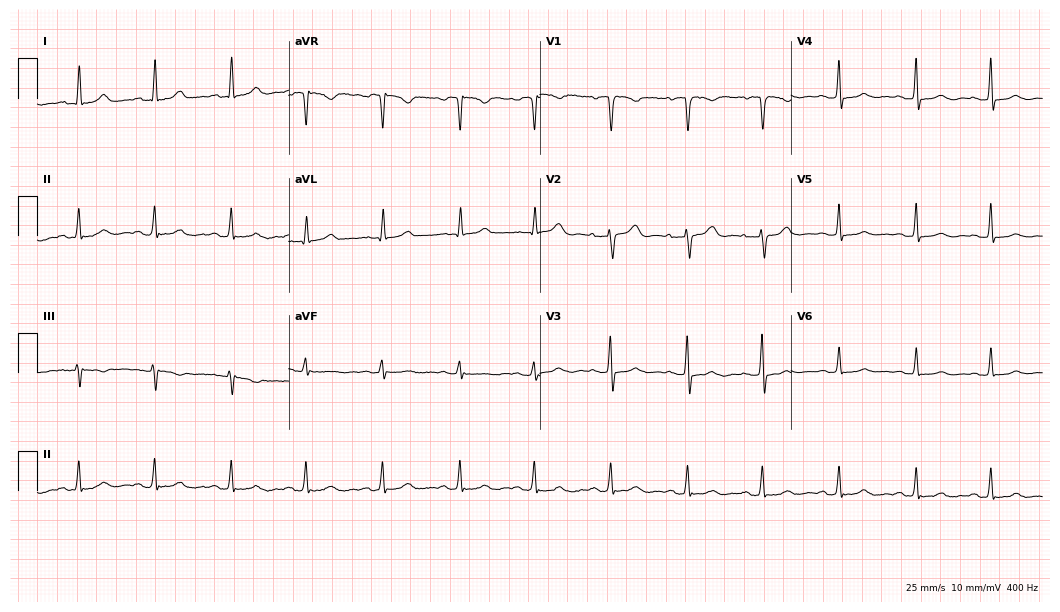
12-lead ECG from a female patient, 41 years old (10.2-second recording at 400 Hz). Recorded interpretation: within normal limits.